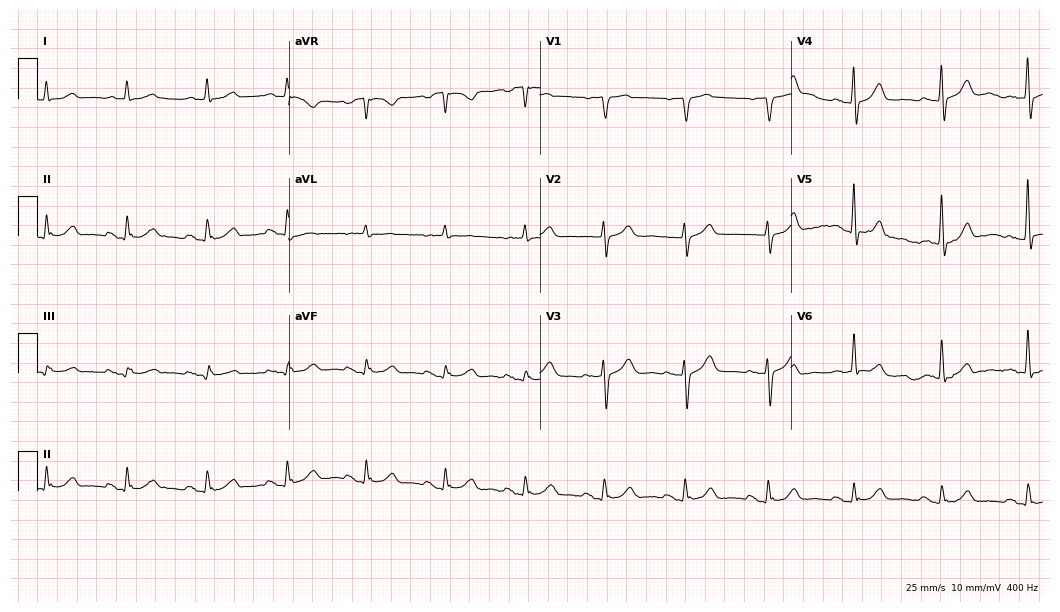
Standard 12-lead ECG recorded from a 72-year-old male. Read as a normal ECG.